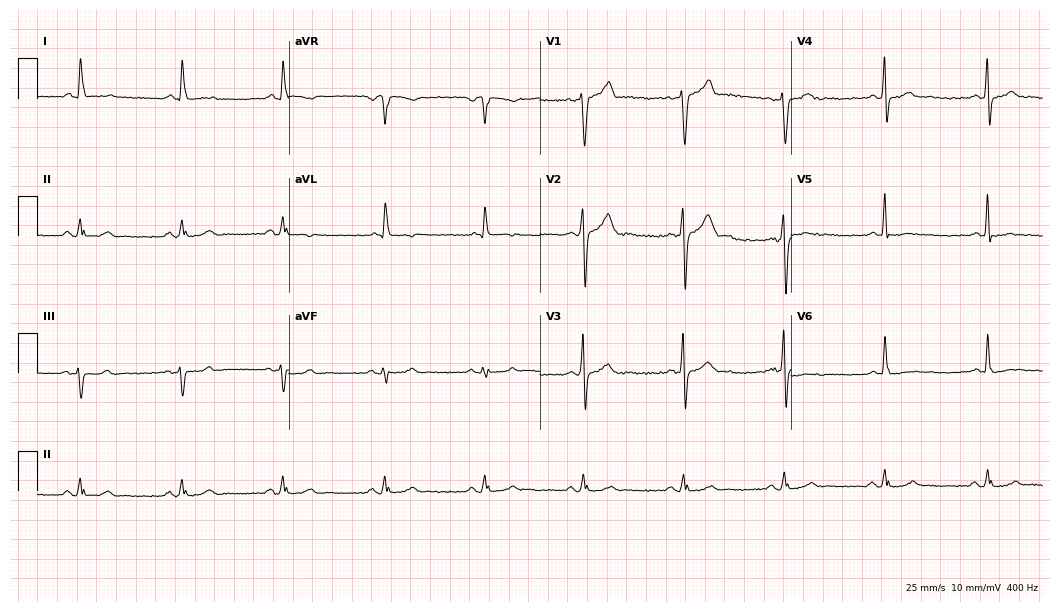
ECG (10.2-second recording at 400 Hz) — a man, 55 years old. Screened for six findings — first-degree AV block, right bundle branch block (RBBB), left bundle branch block (LBBB), sinus bradycardia, atrial fibrillation (AF), sinus tachycardia — none is recorded. Only these six findings were labelled.